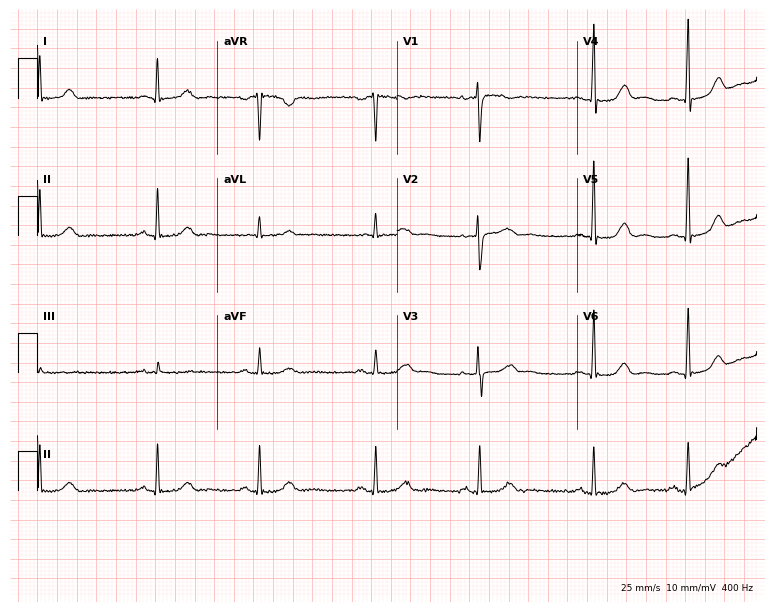
ECG — a 47-year-old female. Labelled as a normal ECG.